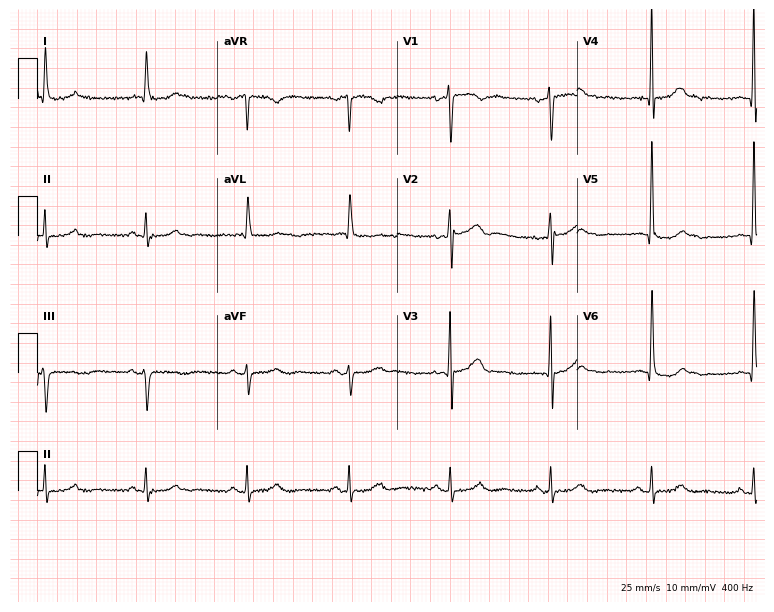
Standard 12-lead ECG recorded from a male, 83 years old (7.3-second recording at 400 Hz). None of these six findings is recorded: first-degree AV block, right bundle branch block (RBBB), left bundle branch block (LBBB), sinus bradycardia, atrial fibrillation (AF), sinus tachycardia.